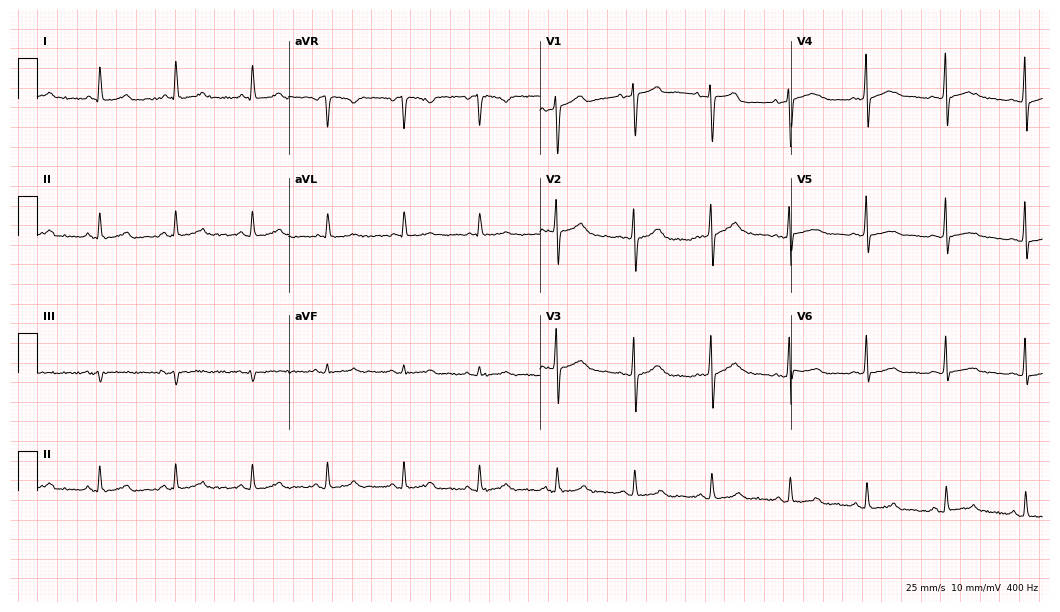
ECG (10.2-second recording at 400 Hz) — a woman, 36 years old. Labelled as a normal ECG.